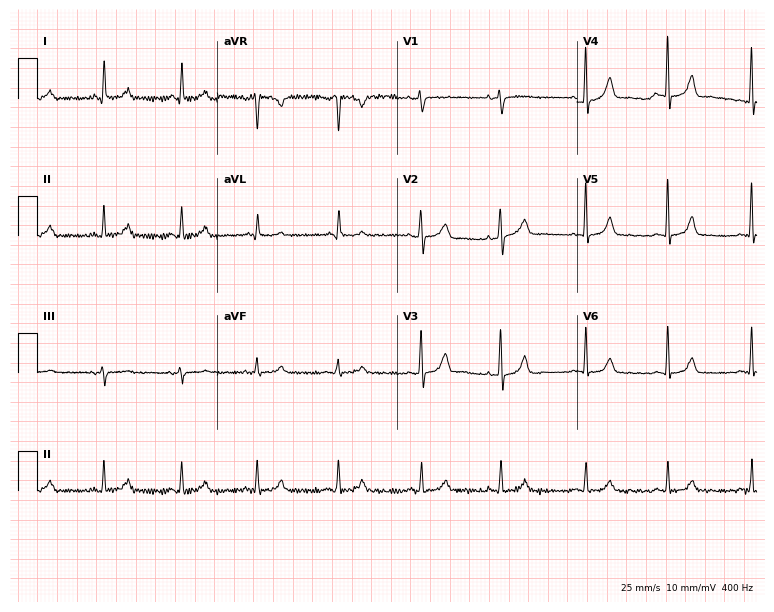
Electrocardiogram (7.3-second recording at 400 Hz), a female patient, 38 years old. Overall reading on record: normal ECG.